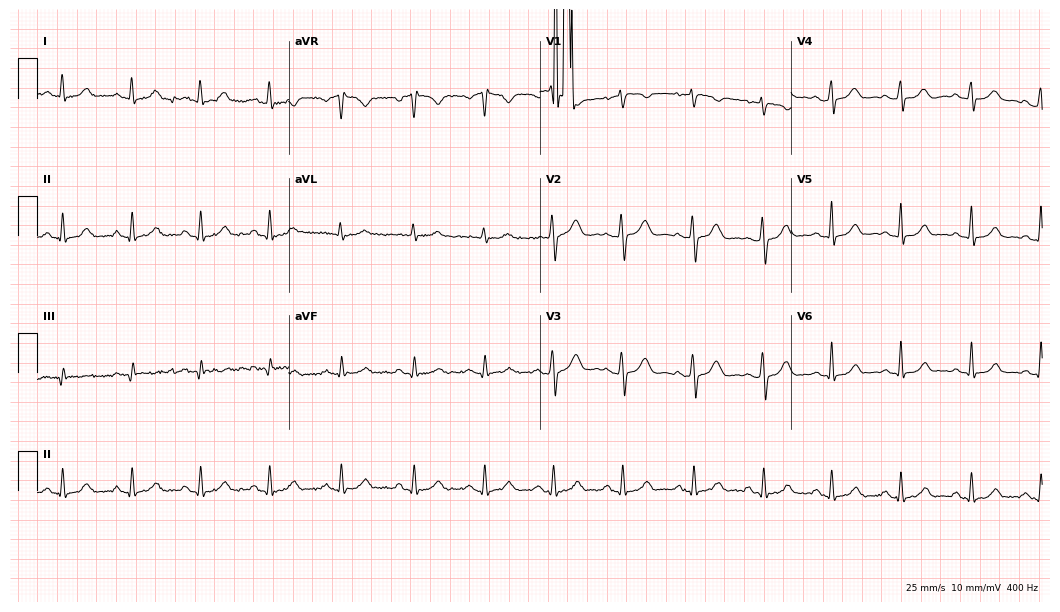
Standard 12-lead ECG recorded from a 39-year-old female. None of these six findings is recorded: first-degree AV block, right bundle branch block, left bundle branch block, sinus bradycardia, atrial fibrillation, sinus tachycardia. Findings outside these six are not listed.